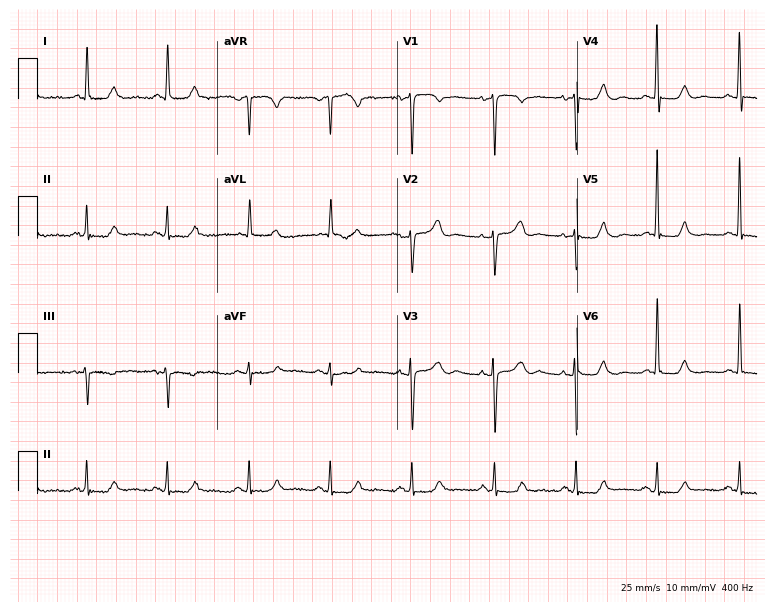
12-lead ECG (7.3-second recording at 400 Hz) from a 66-year-old woman. Screened for six findings — first-degree AV block, right bundle branch block, left bundle branch block, sinus bradycardia, atrial fibrillation, sinus tachycardia — none is recorded. Other findings, if any, are not listed.